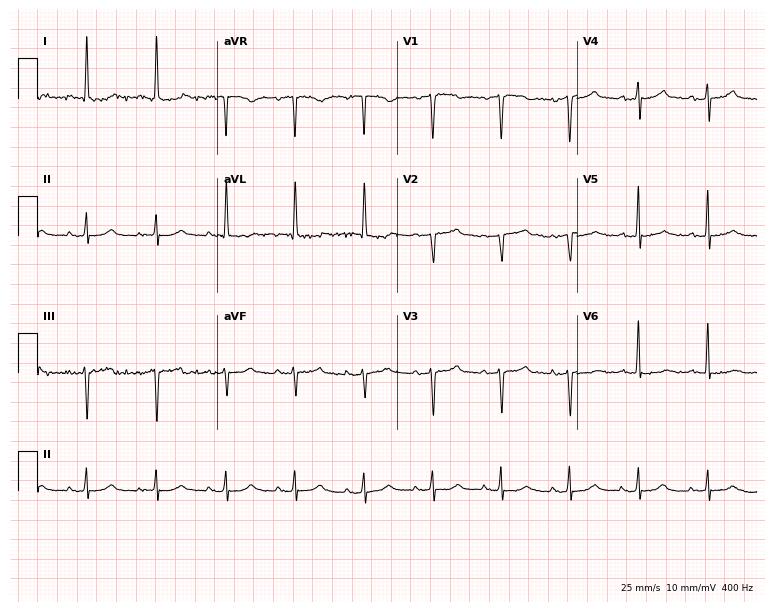
12-lead ECG from a 74-year-old female patient. No first-degree AV block, right bundle branch block, left bundle branch block, sinus bradycardia, atrial fibrillation or sinus tachycardia recorded for this tracing.